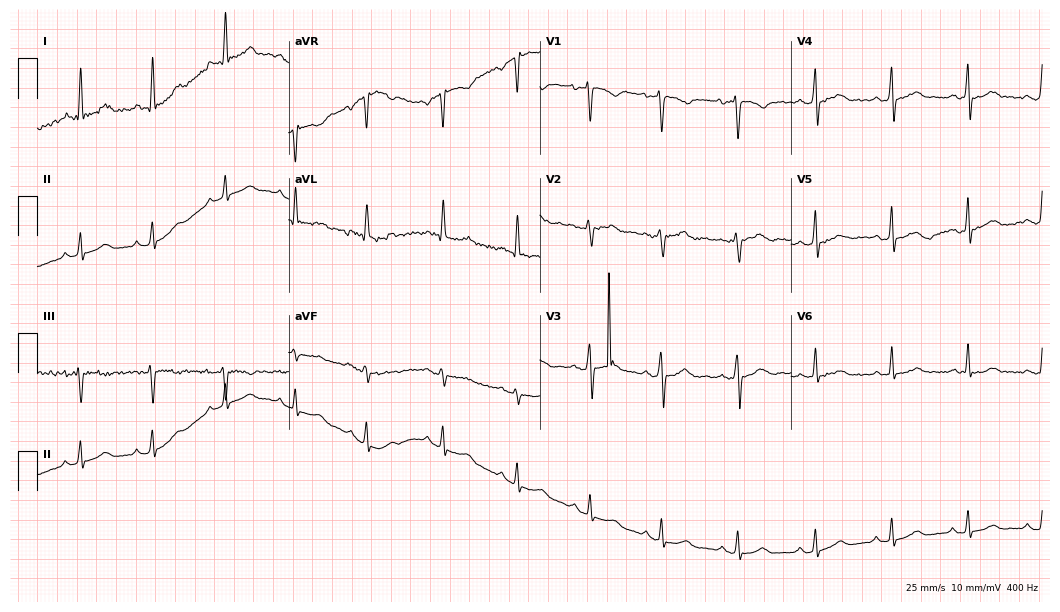
Standard 12-lead ECG recorded from a 35-year-old female patient. Read as a normal ECG.